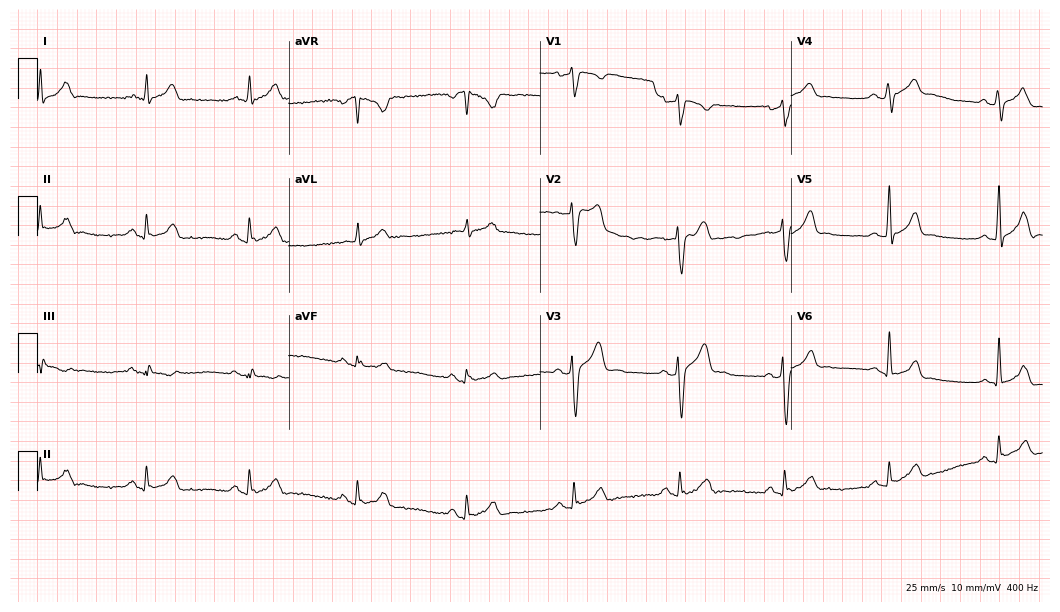
12-lead ECG from a 32-year-old male. Labelled as a normal ECG.